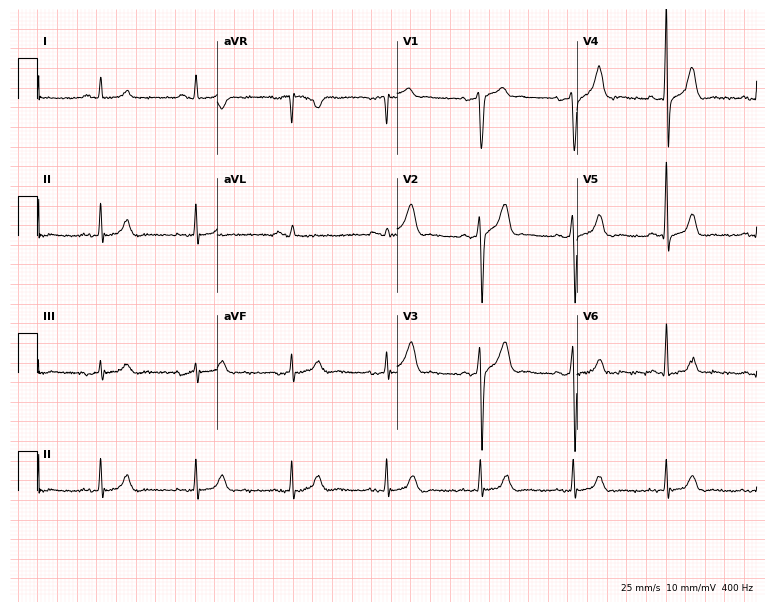
Standard 12-lead ECG recorded from a male, 61 years old. None of these six findings is recorded: first-degree AV block, right bundle branch block, left bundle branch block, sinus bradycardia, atrial fibrillation, sinus tachycardia. Other findings, if any, are not listed.